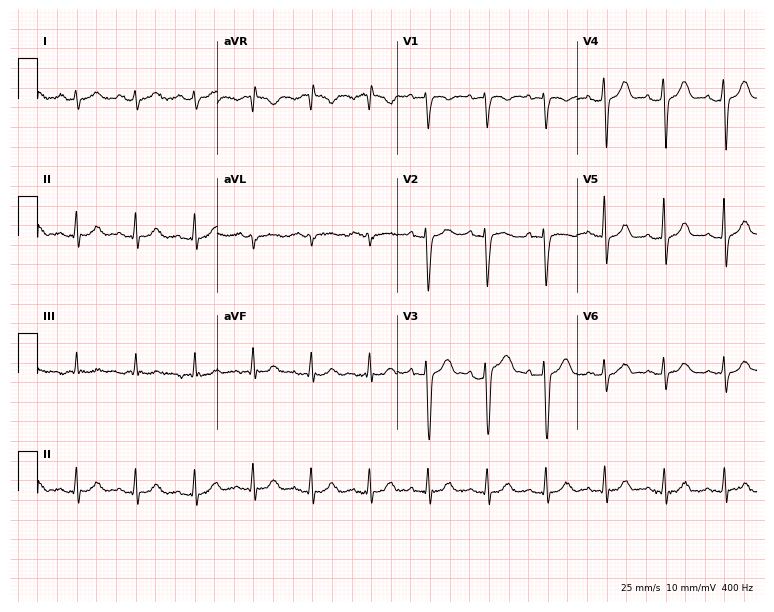
12-lead ECG from a female patient, 39 years old (7.3-second recording at 400 Hz). Recorded interpretation: within normal limits.